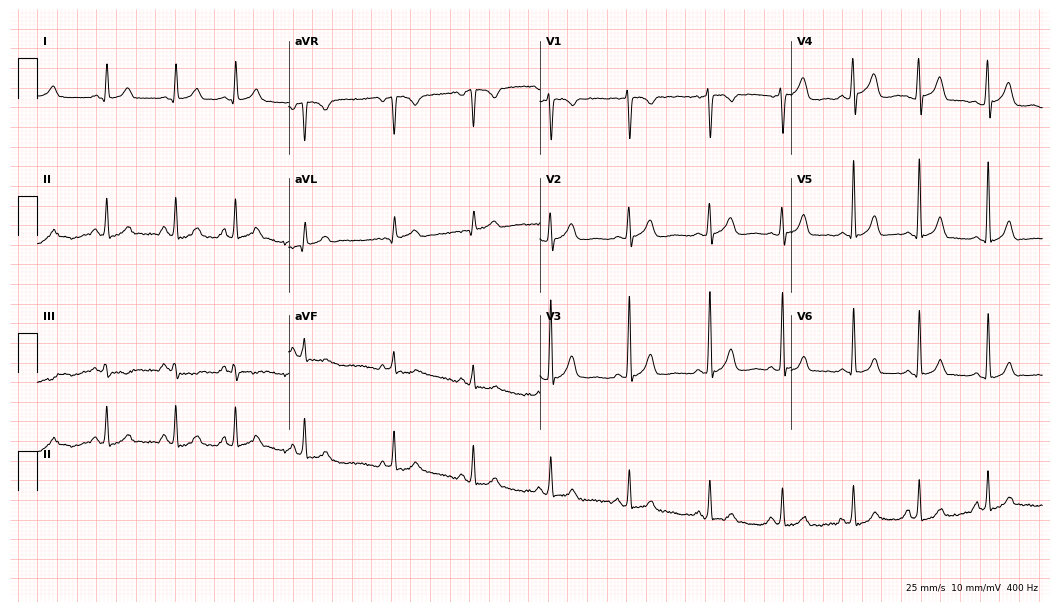
ECG (10.2-second recording at 400 Hz) — a 19-year-old woman. Screened for six findings — first-degree AV block, right bundle branch block, left bundle branch block, sinus bradycardia, atrial fibrillation, sinus tachycardia — none is recorded.